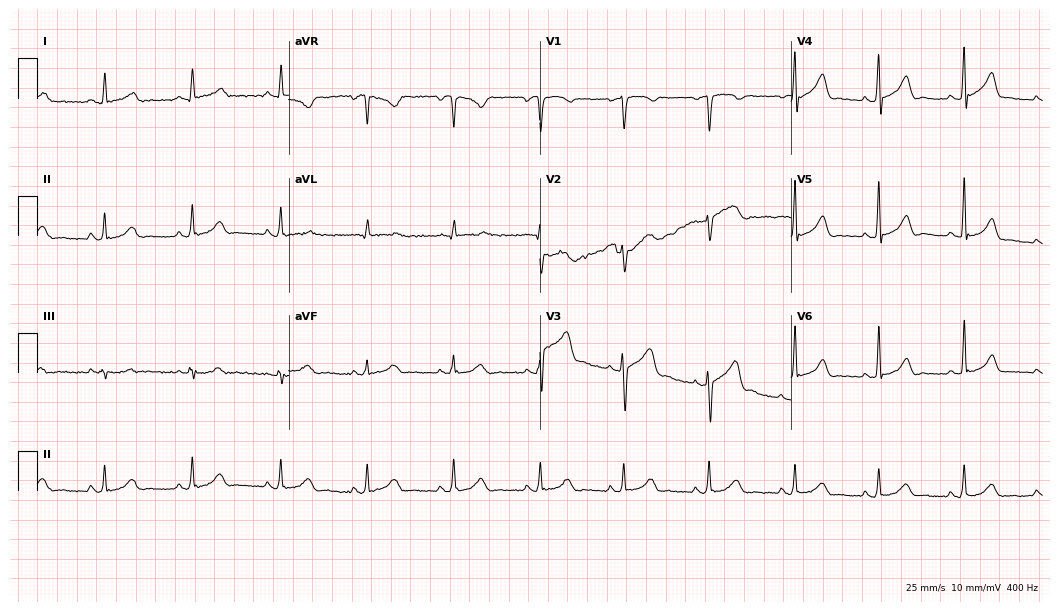
12-lead ECG from a 55-year-old male patient (10.2-second recording at 400 Hz). Recorded interpretation: within normal limits.